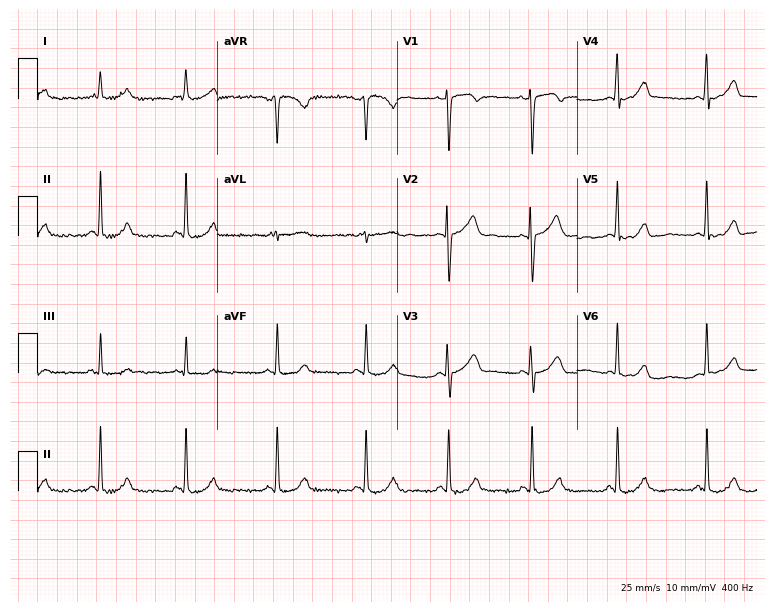
Resting 12-lead electrocardiogram. Patient: a female, 46 years old. Read as a normal ECG.